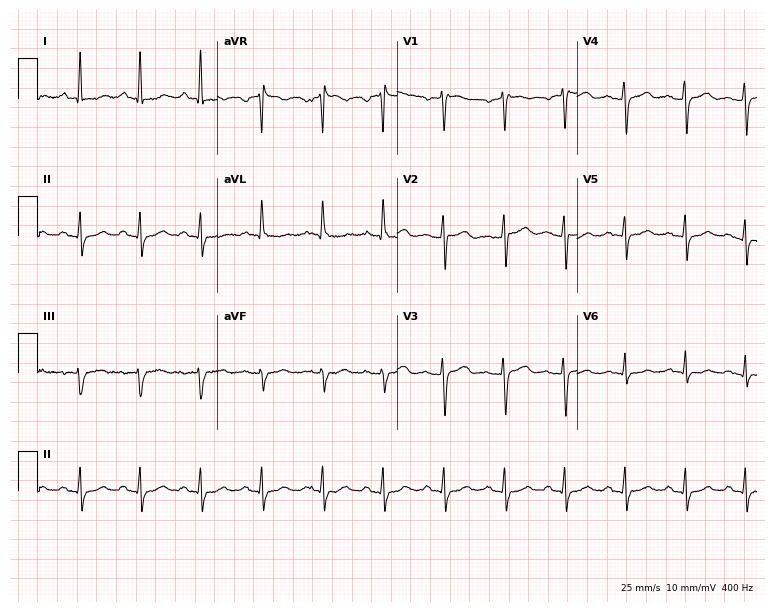
Resting 12-lead electrocardiogram. Patient: a 45-year-old female. Read as a normal ECG.